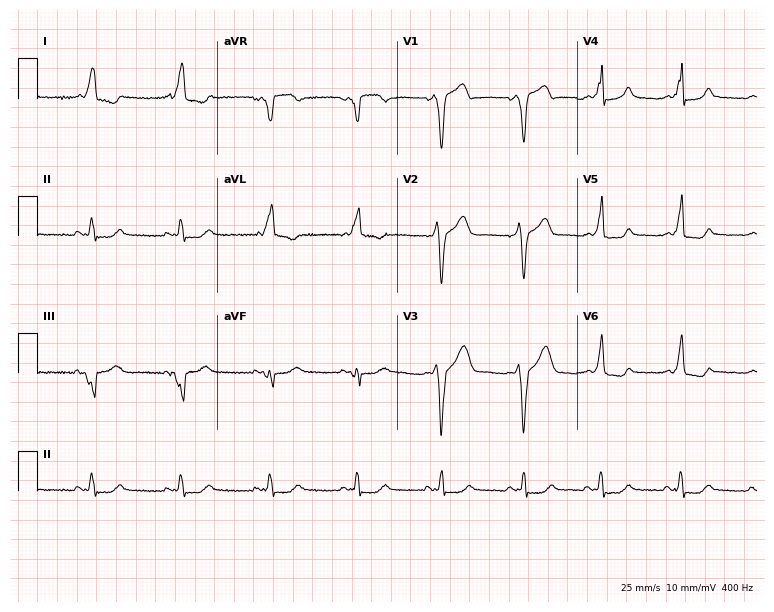
12-lead ECG from a female patient, 38 years old (7.3-second recording at 400 Hz). No first-degree AV block, right bundle branch block (RBBB), left bundle branch block (LBBB), sinus bradycardia, atrial fibrillation (AF) or sinus tachycardia recorded for this tracing.